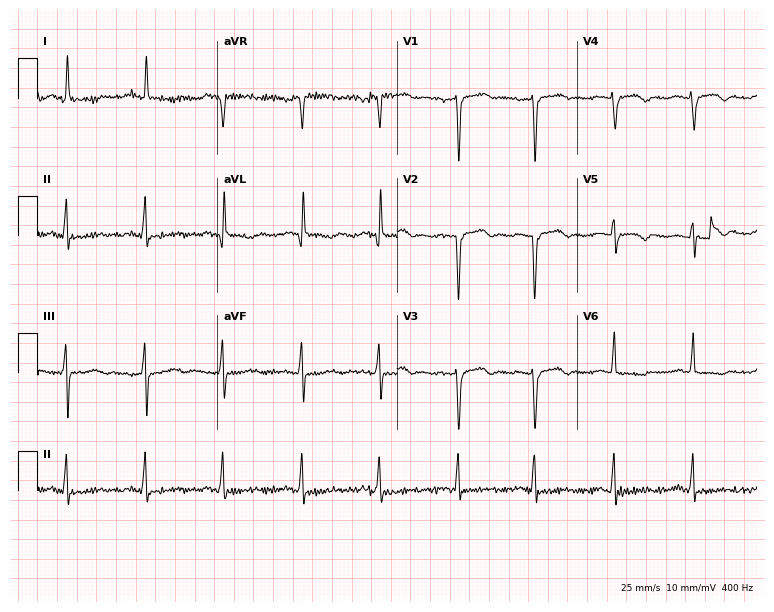
Resting 12-lead electrocardiogram (7.3-second recording at 400 Hz). Patient: a 65-year-old woman. None of these six findings is recorded: first-degree AV block, right bundle branch block (RBBB), left bundle branch block (LBBB), sinus bradycardia, atrial fibrillation (AF), sinus tachycardia. Only these six findings were labelled.